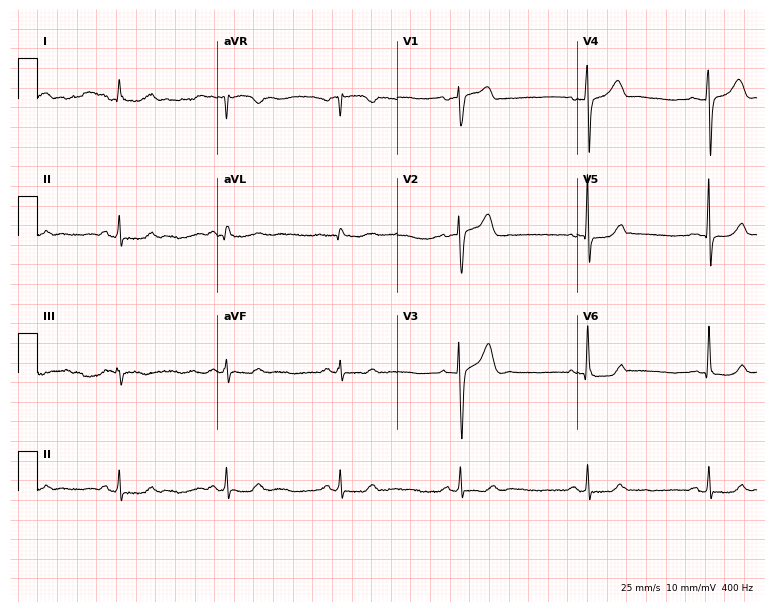
Standard 12-lead ECG recorded from a male, 63 years old (7.3-second recording at 400 Hz). The tracing shows sinus bradycardia (a sinus rate of 50 beats per minute or less).